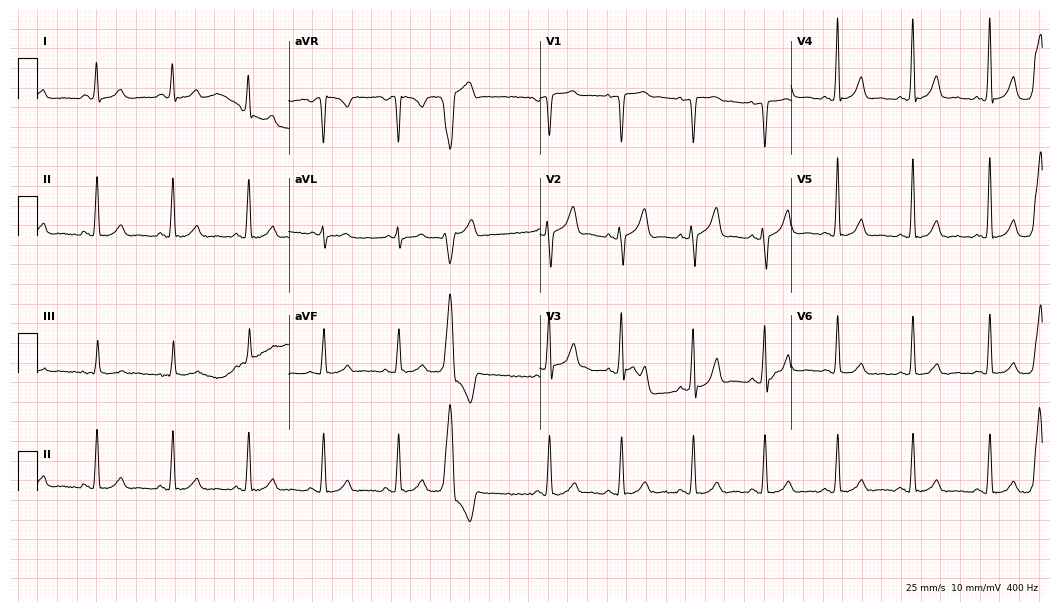
12-lead ECG from a 42-year-old male patient. Screened for six findings — first-degree AV block, right bundle branch block, left bundle branch block, sinus bradycardia, atrial fibrillation, sinus tachycardia — none is recorded. Other findings, if any, are not listed.